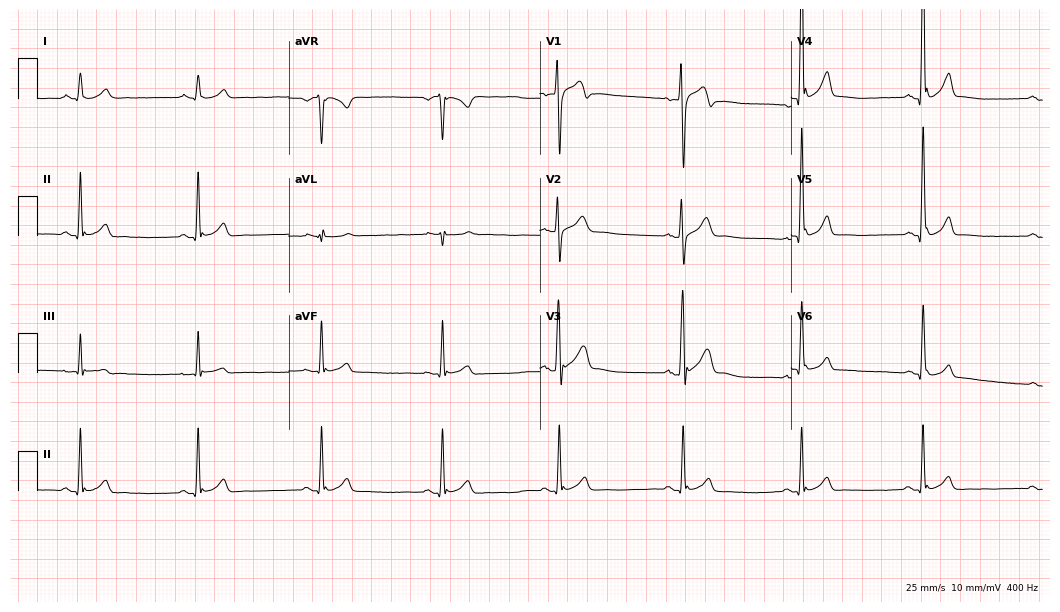
Electrocardiogram (10.2-second recording at 400 Hz), a 21-year-old male. Interpretation includes sinus bradycardia (a sinus rate of 50 beats per minute or less).